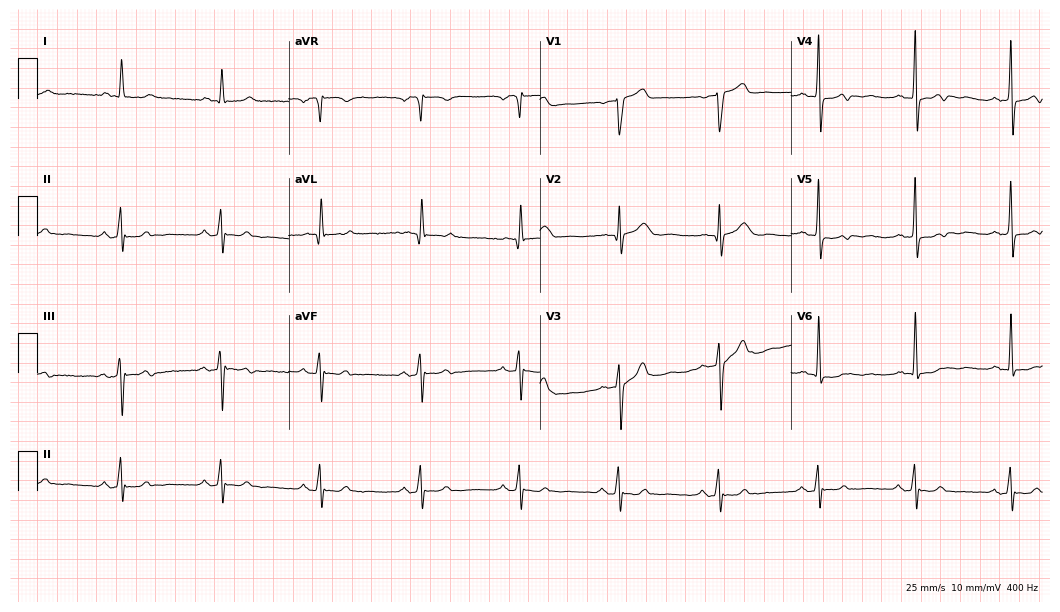
12-lead ECG from a male, 61 years old. Screened for six findings — first-degree AV block, right bundle branch block, left bundle branch block, sinus bradycardia, atrial fibrillation, sinus tachycardia — none is recorded. Only these six findings were labelled.